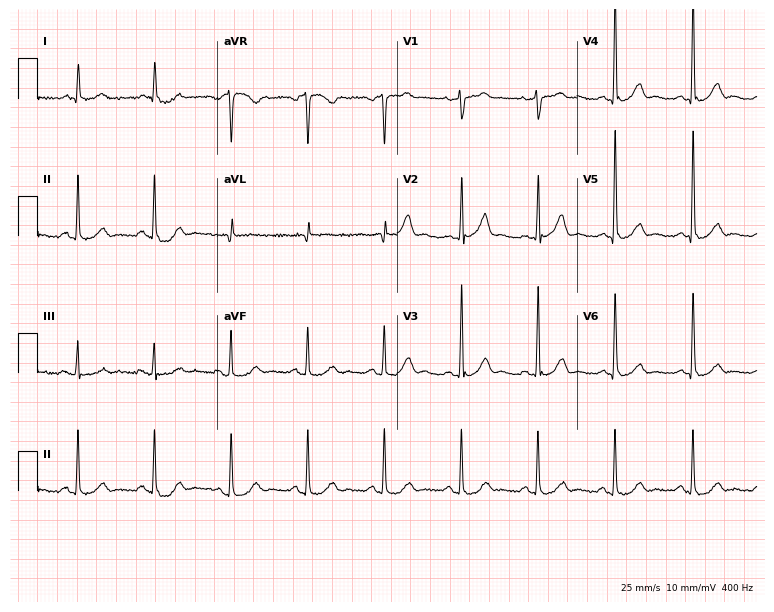
Resting 12-lead electrocardiogram (7.3-second recording at 400 Hz). Patient: an 82-year-old male. None of these six findings is recorded: first-degree AV block, right bundle branch block, left bundle branch block, sinus bradycardia, atrial fibrillation, sinus tachycardia.